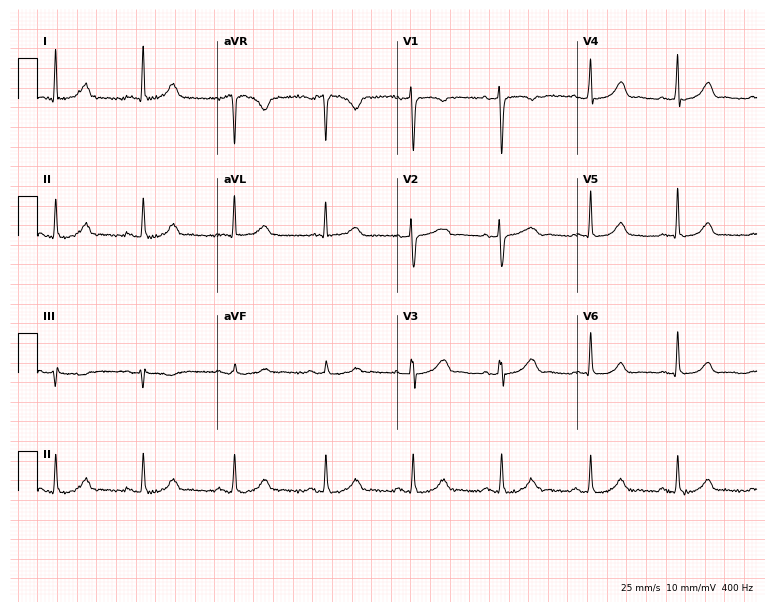
ECG — a 46-year-old female patient. Screened for six findings — first-degree AV block, right bundle branch block (RBBB), left bundle branch block (LBBB), sinus bradycardia, atrial fibrillation (AF), sinus tachycardia — none is recorded.